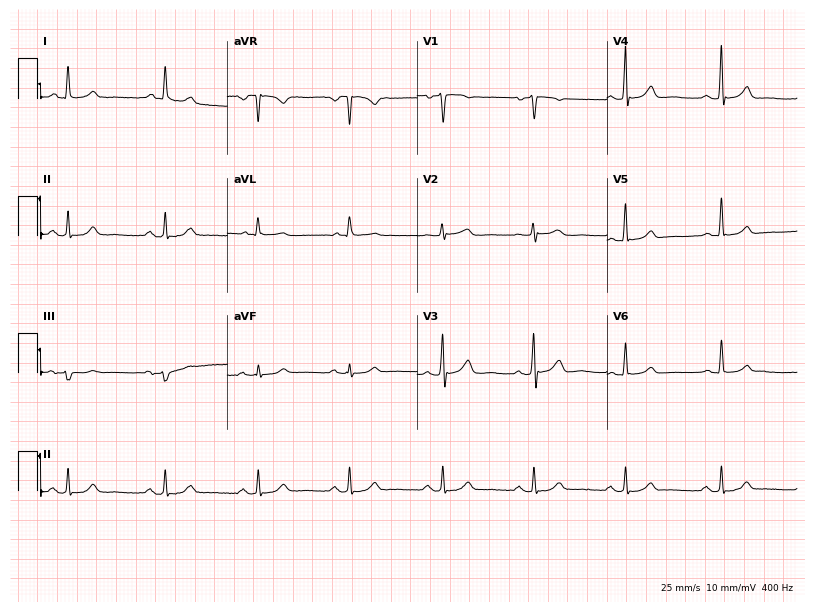
Electrocardiogram, a woman, 57 years old. Of the six screened findings (first-degree AV block, right bundle branch block (RBBB), left bundle branch block (LBBB), sinus bradycardia, atrial fibrillation (AF), sinus tachycardia), none is recorded. Other findings, if any, are not listed.